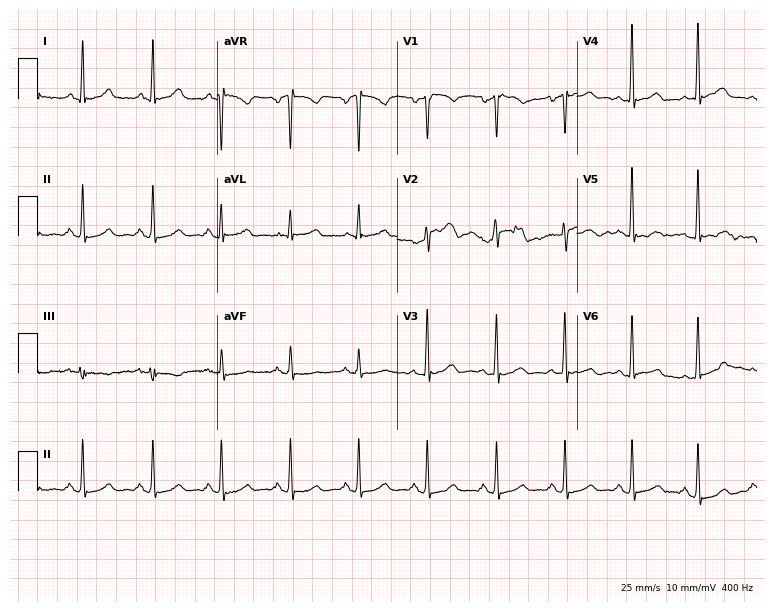
12-lead ECG from a woman, 53 years old (7.3-second recording at 400 Hz). Recorded interpretation: within normal limits.